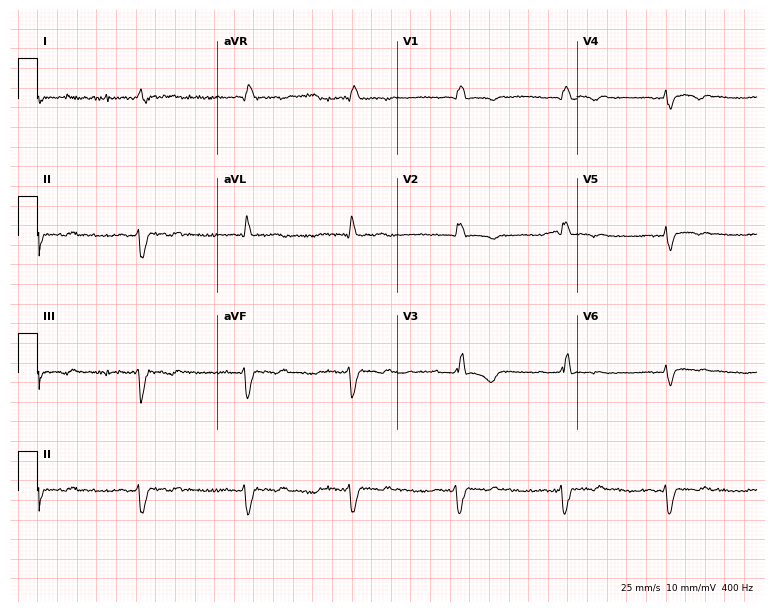
Standard 12-lead ECG recorded from a 65-year-old woman (7.3-second recording at 400 Hz). None of these six findings is recorded: first-degree AV block, right bundle branch block, left bundle branch block, sinus bradycardia, atrial fibrillation, sinus tachycardia. Findings outside these six are not listed.